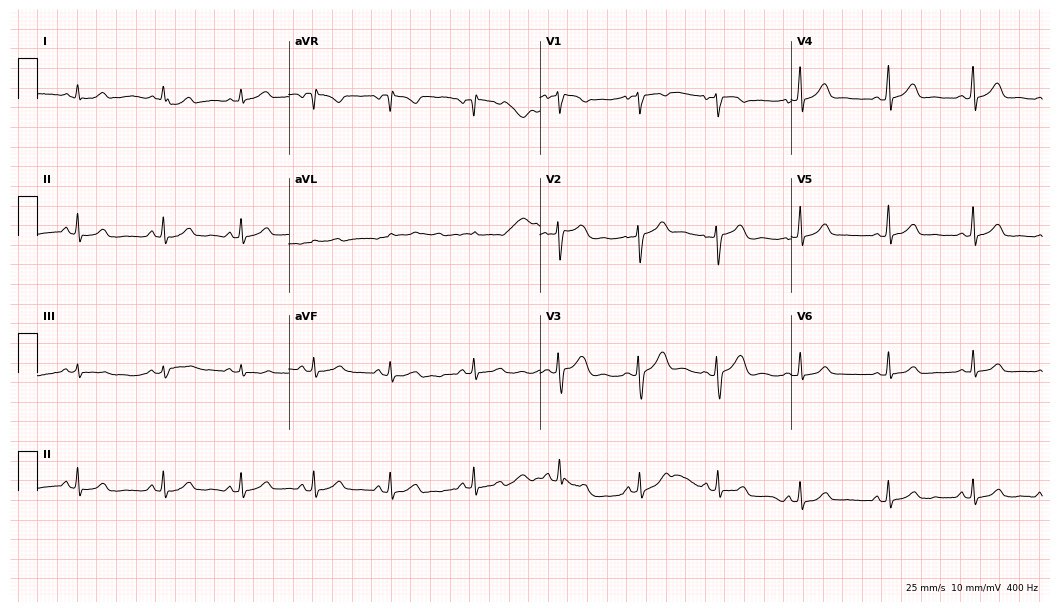
ECG — a female patient, 33 years old. Labelled as a normal ECG.